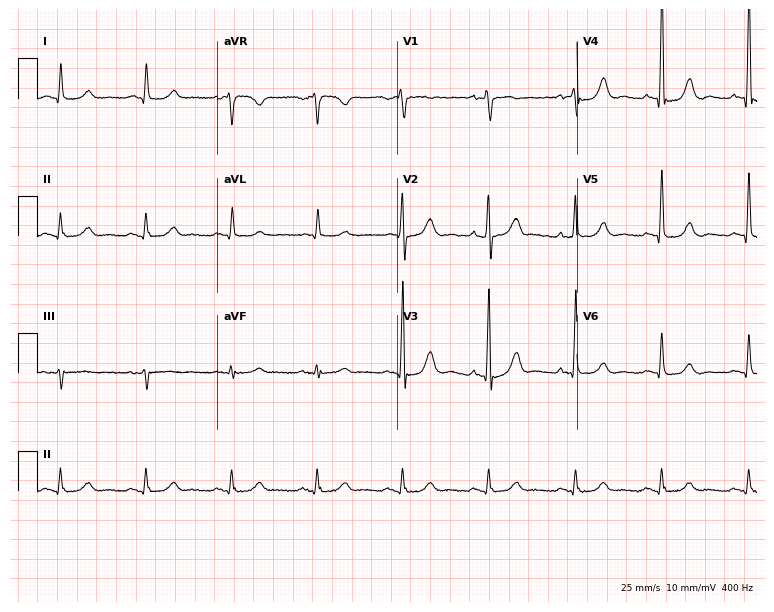
12-lead ECG (7.3-second recording at 400 Hz) from an 82-year-old male. Screened for six findings — first-degree AV block, right bundle branch block, left bundle branch block, sinus bradycardia, atrial fibrillation, sinus tachycardia — none is recorded.